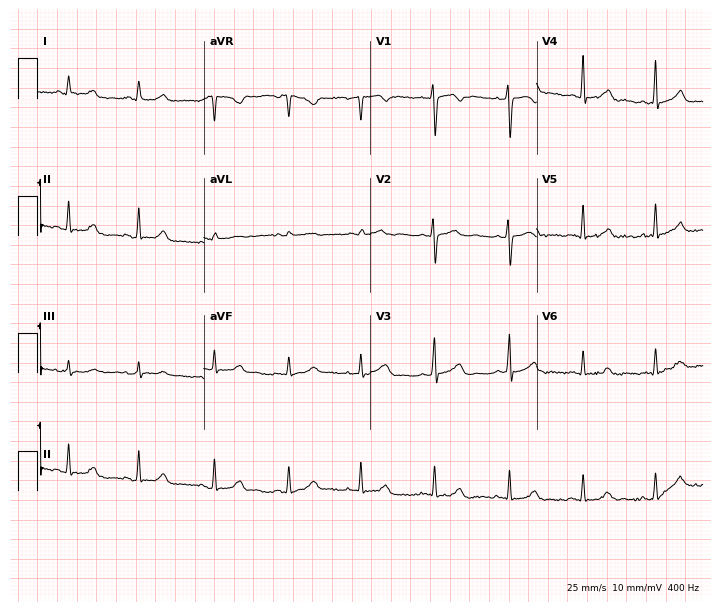
12-lead ECG from a female, 31 years old. Labelled as a normal ECG.